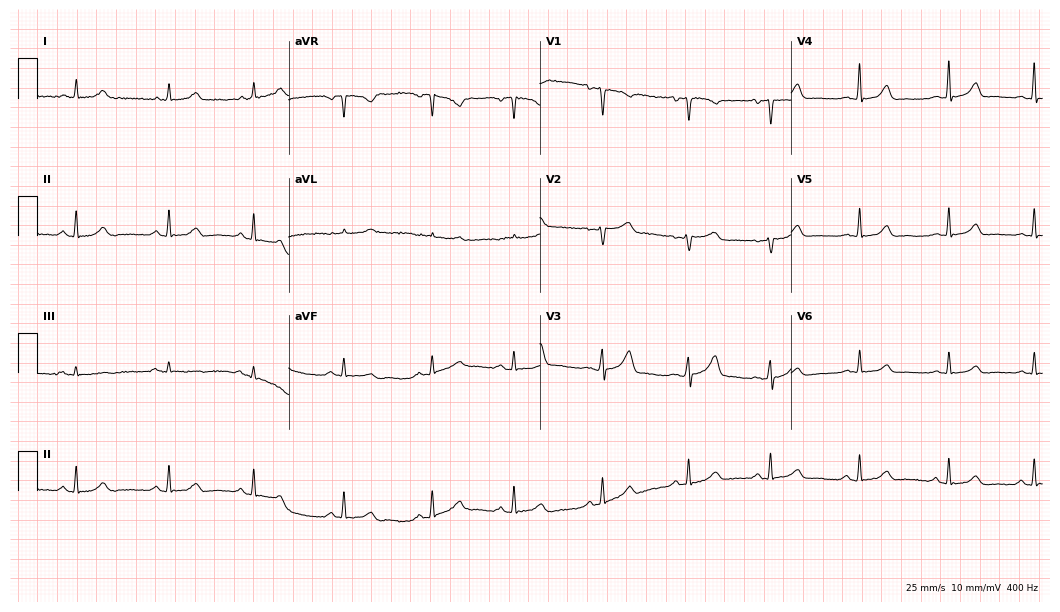
12-lead ECG (10.2-second recording at 400 Hz) from a 39-year-old female patient. Labelled as a normal ECG.